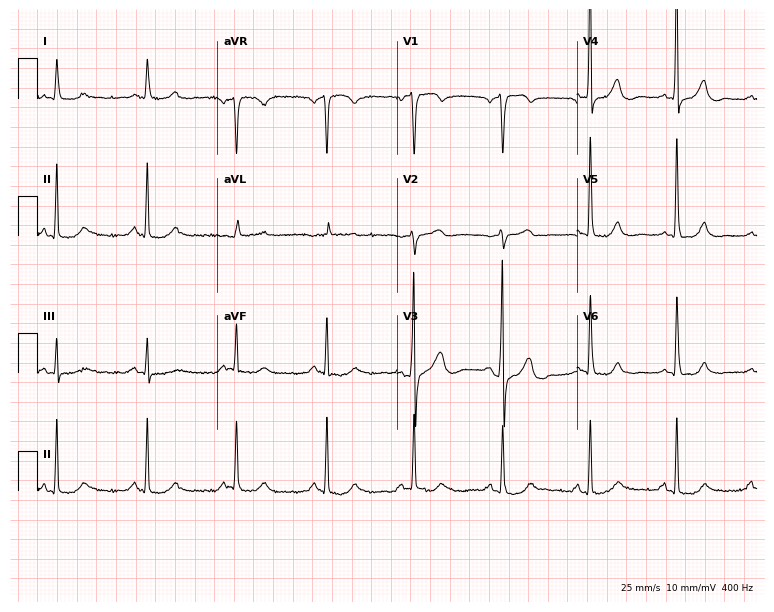
ECG — a man, 80 years old. Screened for six findings — first-degree AV block, right bundle branch block, left bundle branch block, sinus bradycardia, atrial fibrillation, sinus tachycardia — none is recorded.